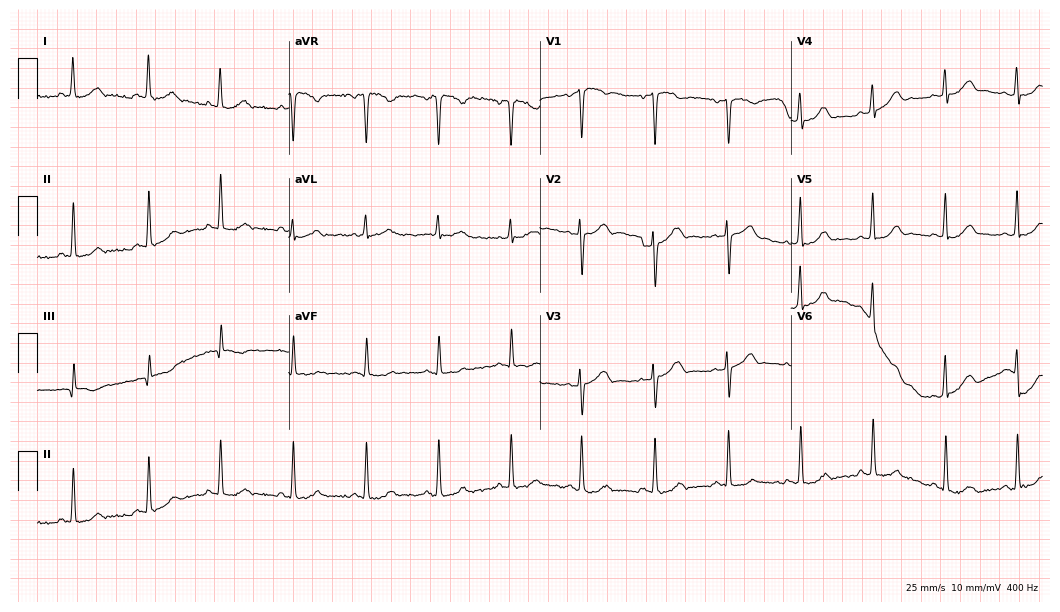
Electrocardiogram, a 48-year-old female. Overall reading on record: normal ECG.